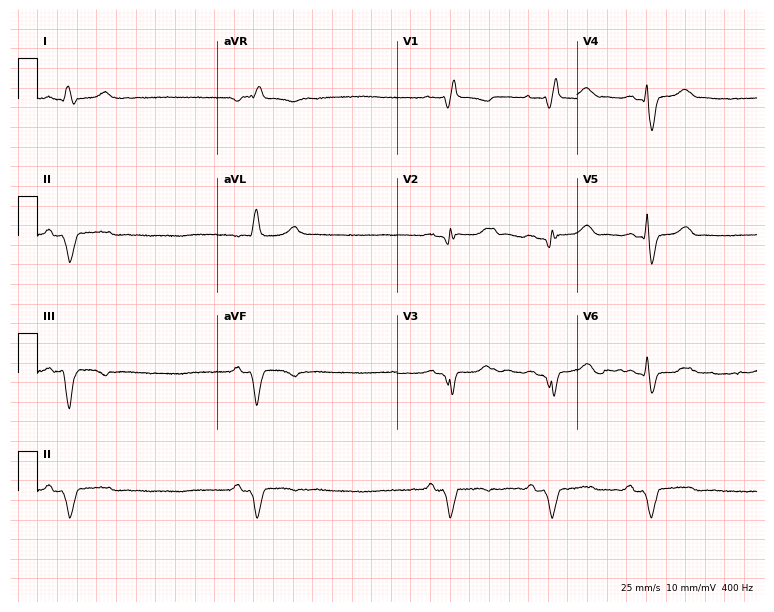
Standard 12-lead ECG recorded from a female, 55 years old (7.3-second recording at 400 Hz). None of these six findings is recorded: first-degree AV block, right bundle branch block, left bundle branch block, sinus bradycardia, atrial fibrillation, sinus tachycardia. Only these six findings were labelled.